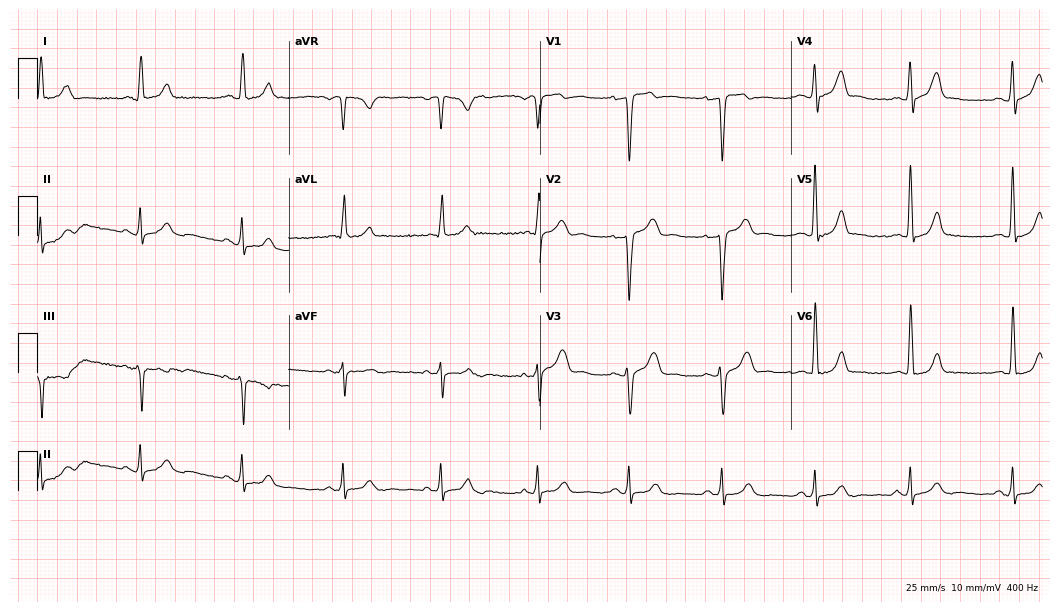
Resting 12-lead electrocardiogram (10.2-second recording at 400 Hz). Patient: a male, 54 years old. Read as a normal ECG.